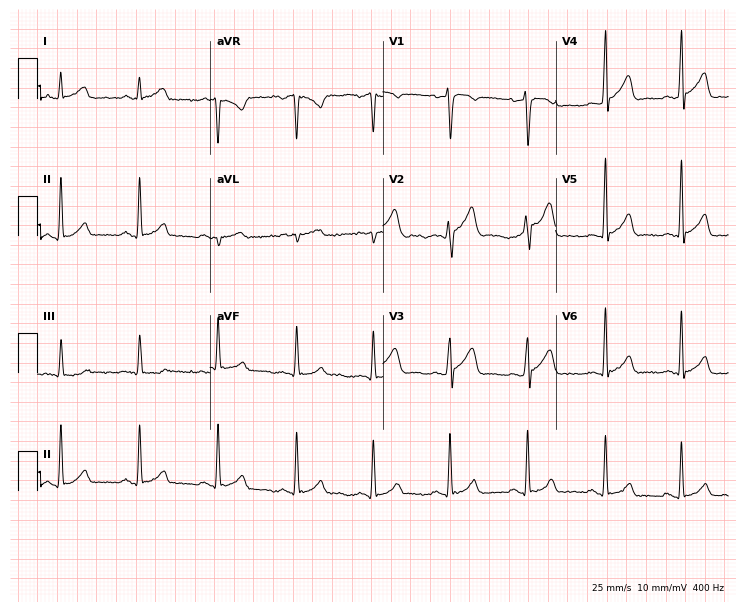
ECG (7-second recording at 400 Hz) — a 43-year-old male patient. Labelled as a normal ECG.